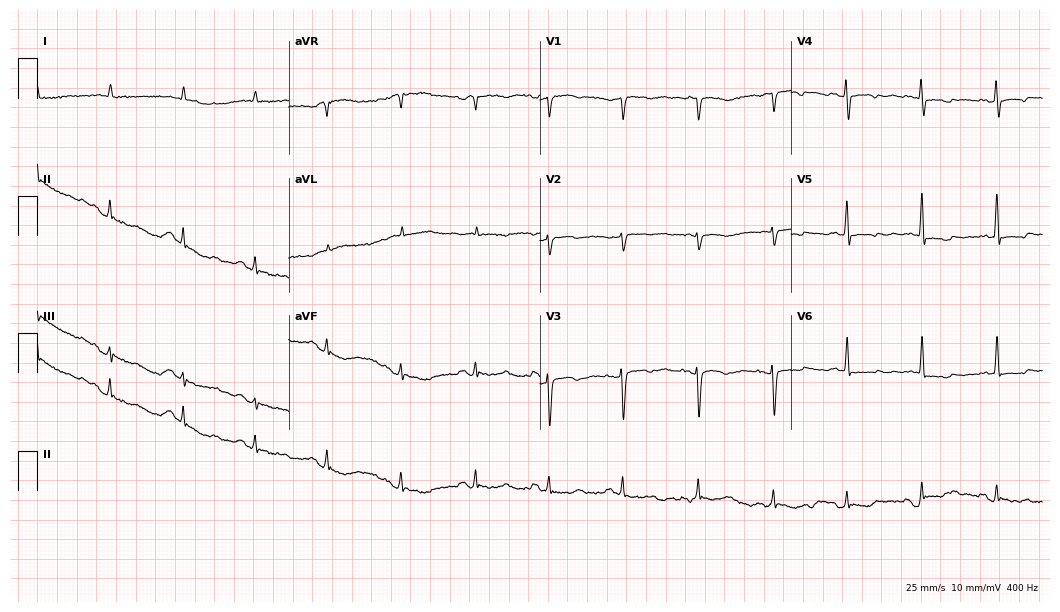
Standard 12-lead ECG recorded from an 81-year-old woman. None of these six findings is recorded: first-degree AV block, right bundle branch block, left bundle branch block, sinus bradycardia, atrial fibrillation, sinus tachycardia.